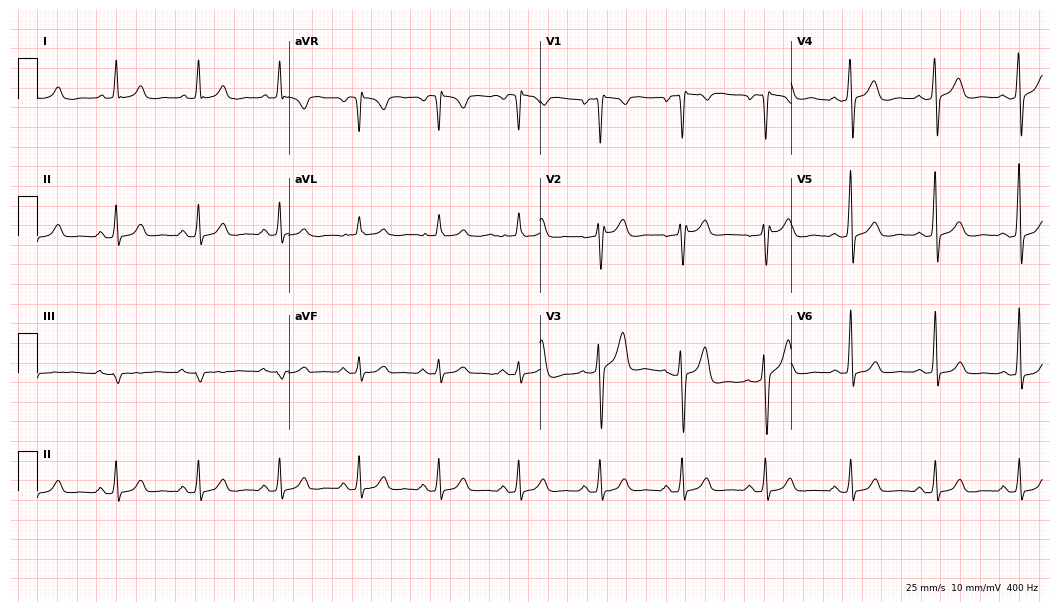
Resting 12-lead electrocardiogram. Patient: a 39-year-old male. Read as a normal ECG.